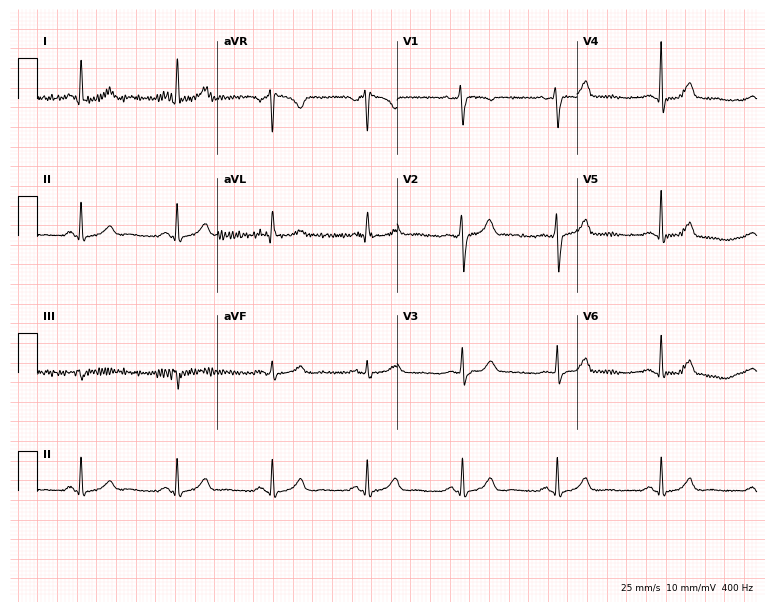
Standard 12-lead ECG recorded from a female patient, 56 years old (7.3-second recording at 400 Hz). None of these six findings is recorded: first-degree AV block, right bundle branch block, left bundle branch block, sinus bradycardia, atrial fibrillation, sinus tachycardia. Findings outside these six are not listed.